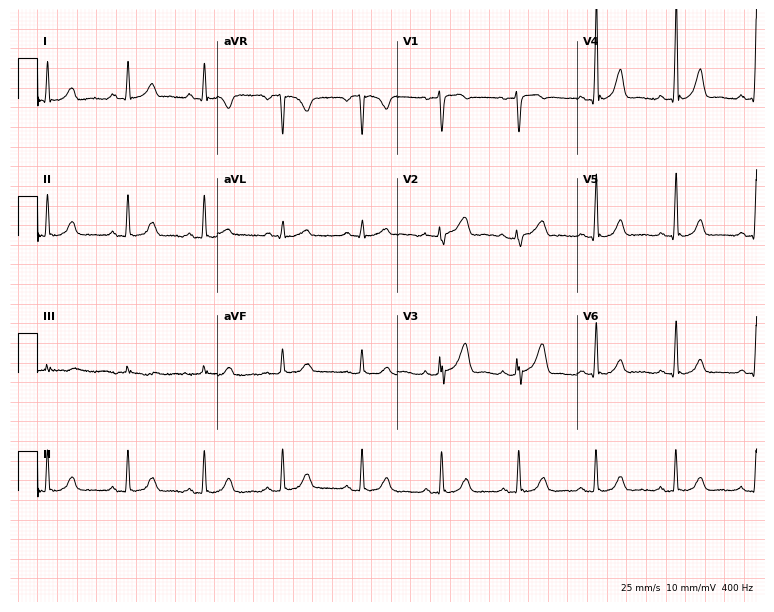
Resting 12-lead electrocardiogram (7.3-second recording at 400 Hz). Patient: a 33-year-old woman. Read as a normal ECG.